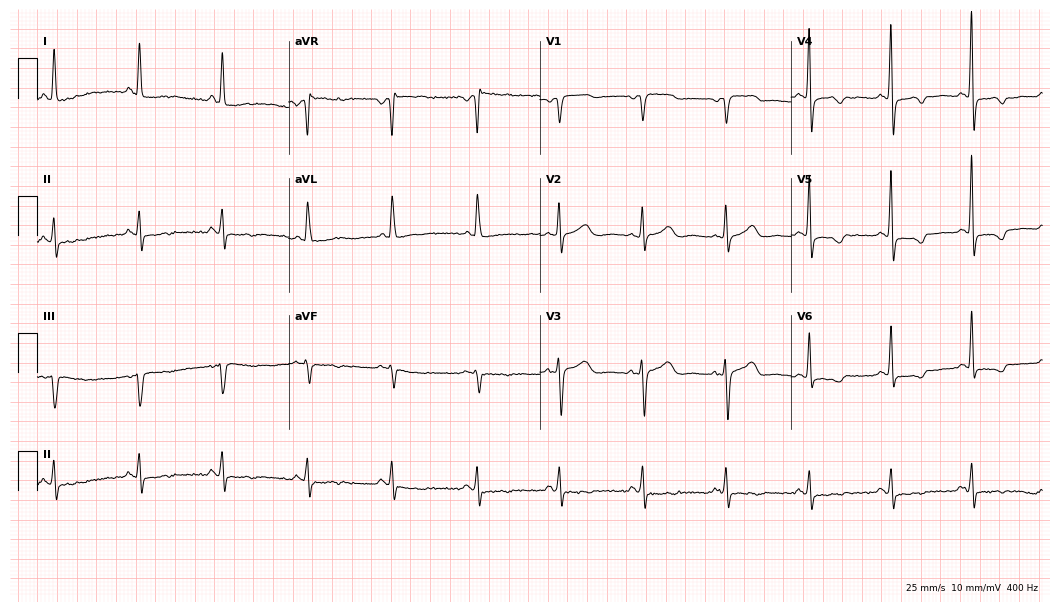
Resting 12-lead electrocardiogram. Patient: a female, 76 years old. None of these six findings is recorded: first-degree AV block, right bundle branch block, left bundle branch block, sinus bradycardia, atrial fibrillation, sinus tachycardia. Findings outside these six are not listed.